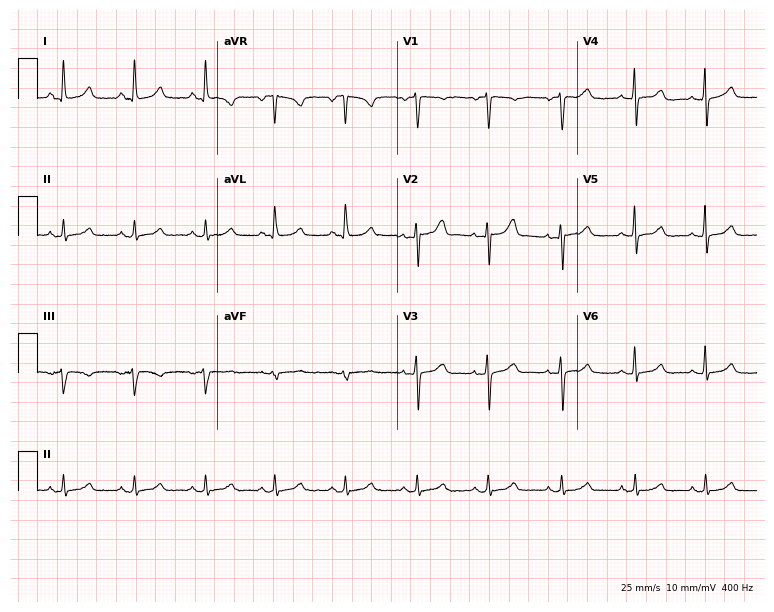
ECG (7.3-second recording at 400 Hz) — a female, 48 years old. Screened for six findings — first-degree AV block, right bundle branch block, left bundle branch block, sinus bradycardia, atrial fibrillation, sinus tachycardia — none is recorded. Only these six findings were labelled.